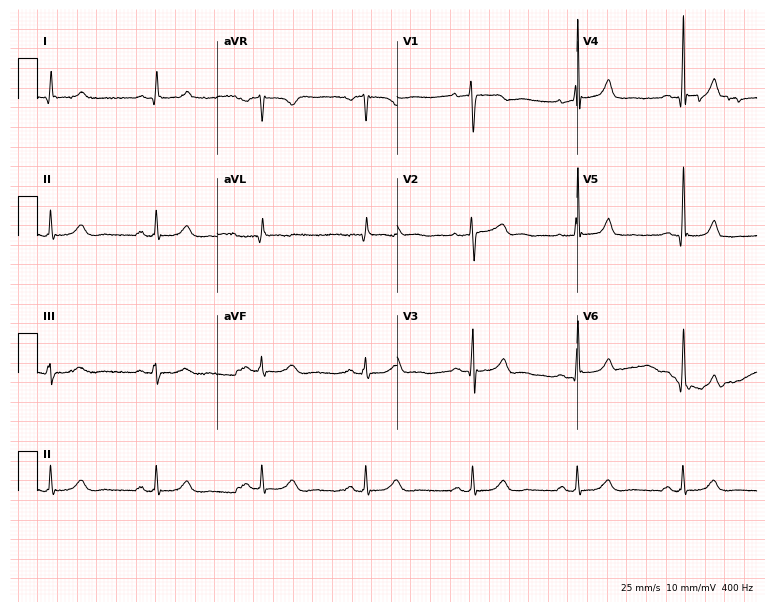
Standard 12-lead ECG recorded from a 47-year-old male patient (7.3-second recording at 400 Hz). Read as a normal ECG.